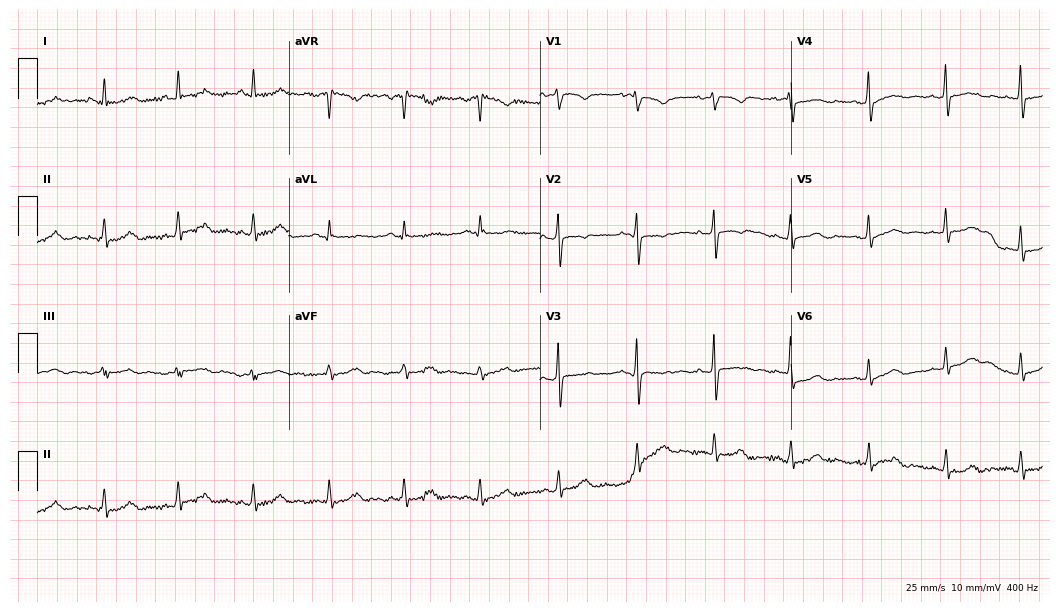
Standard 12-lead ECG recorded from a 55-year-old female patient (10.2-second recording at 400 Hz). None of these six findings is recorded: first-degree AV block, right bundle branch block (RBBB), left bundle branch block (LBBB), sinus bradycardia, atrial fibrillation (AF), sinus tachycardia.